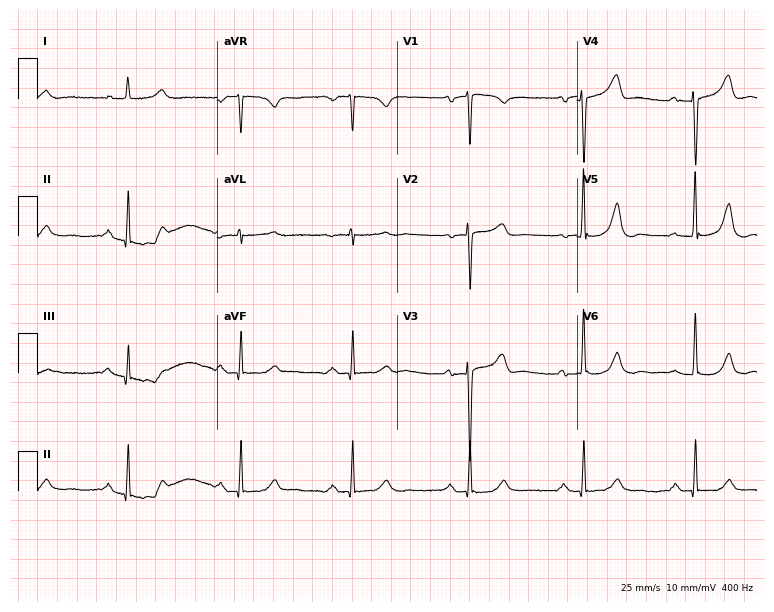
12-lead ECG from a female patient, 73 years old. Findings include first-degree AV block.